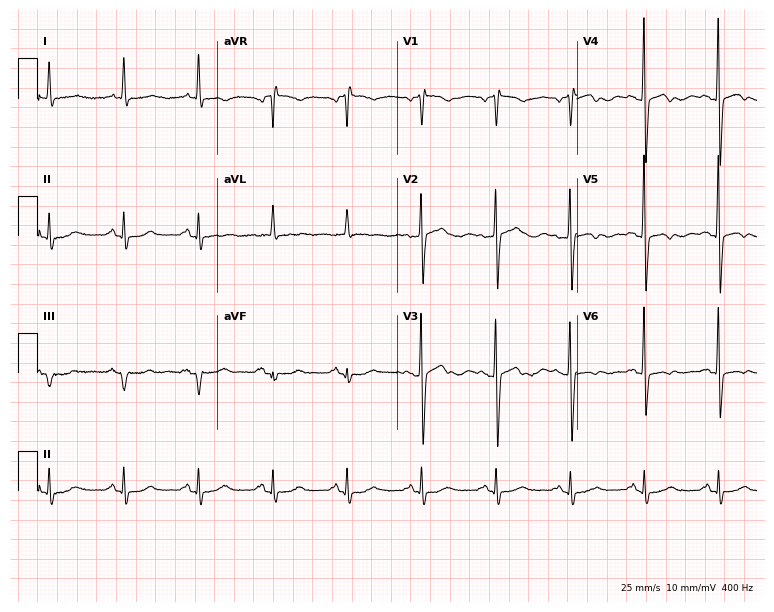
Standard 12-lead ECG recorded from a 75-year-old female. None of these six findings is recorded: first-degree AV block, right bundle branch block, left bundle branch block, sinus bradycardia, atrial fibrillation, sinus tachycardia.